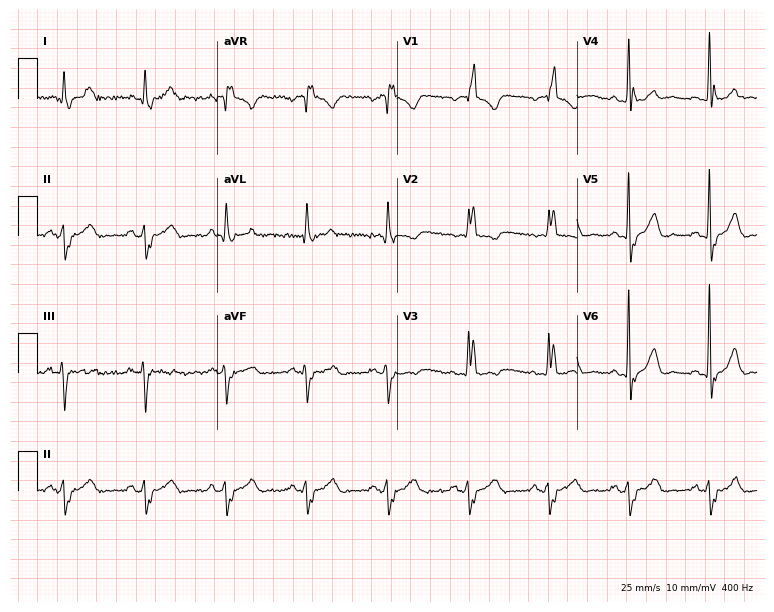
12-lead ECG from a 73-year-old woman (7.3-second recording at 400 Hz). Shows right bundle branch block.